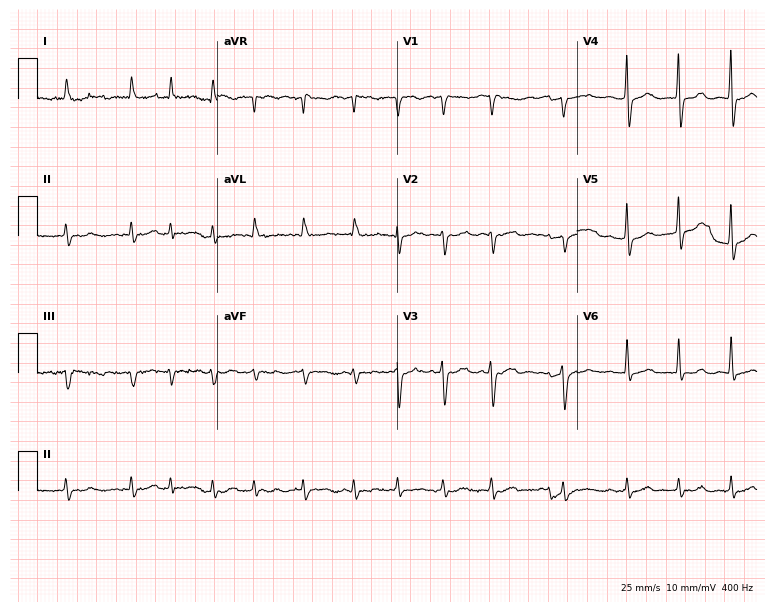
ECG — an 86-year-old woman. Findings include atrial fibrillation.